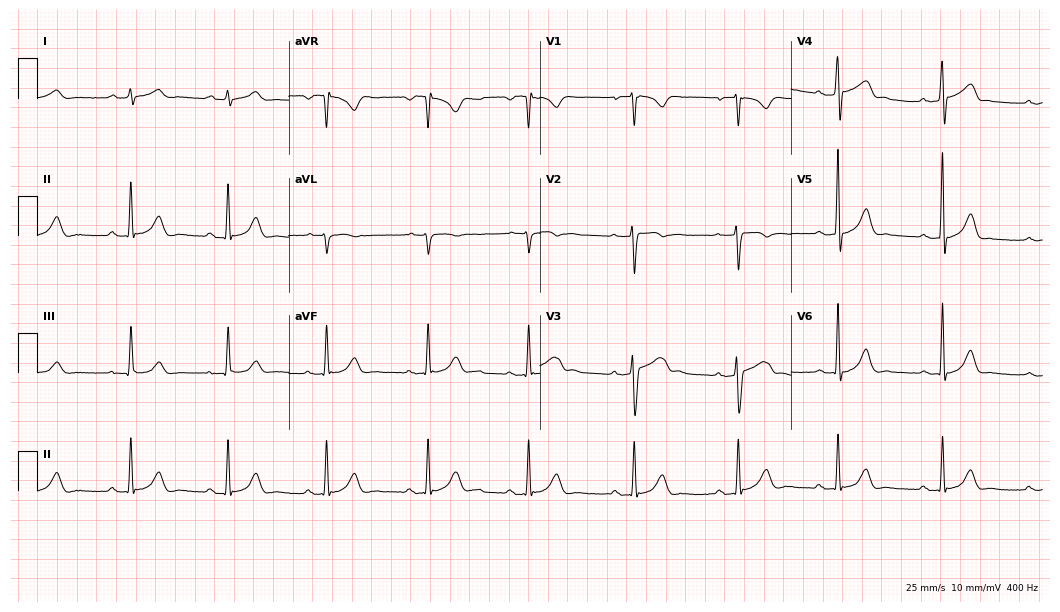
Standard 12-lead ECG recorded from a man, 28 years old (10.2-second recording at 400 Hz). Read as a normal ECG.